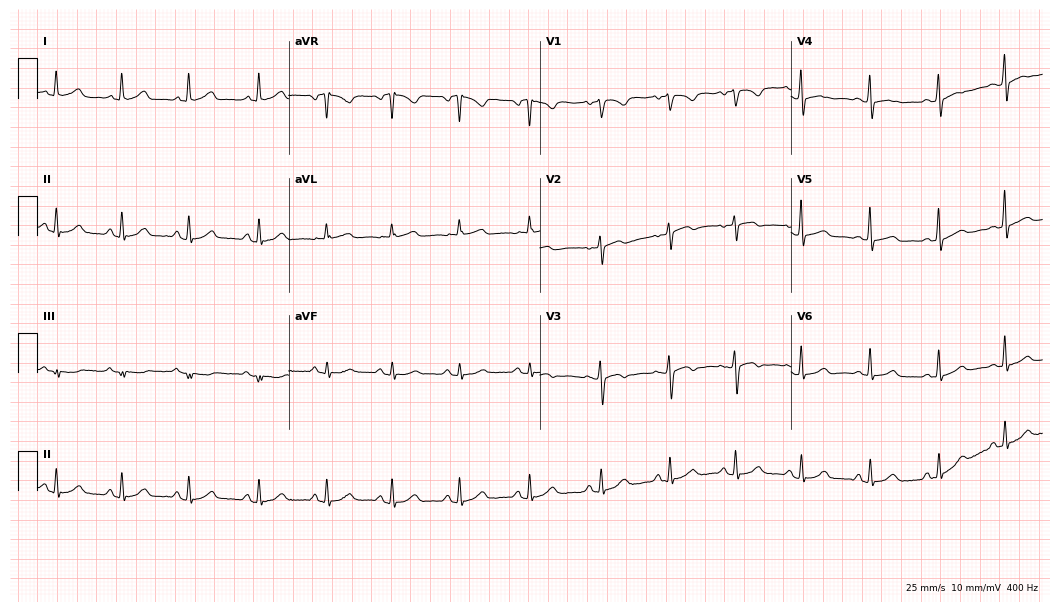
Resting 12-lead electrocardiogram. Patient: a female, 47 years old. Read as a normal ECG.